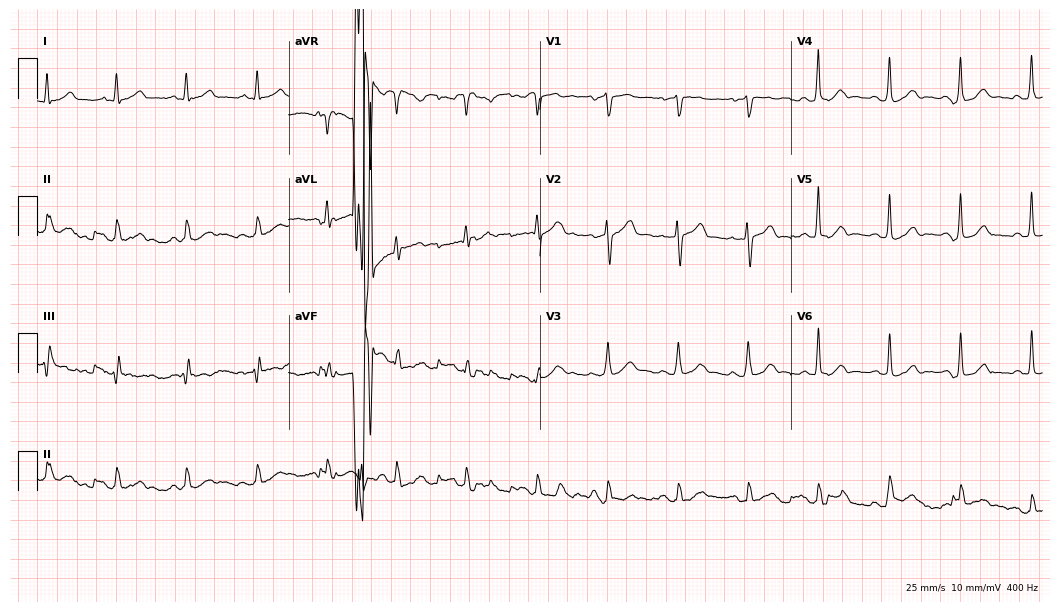
12-lead ECG from a male patient, 61 years old. Labelled as a normal ECG.